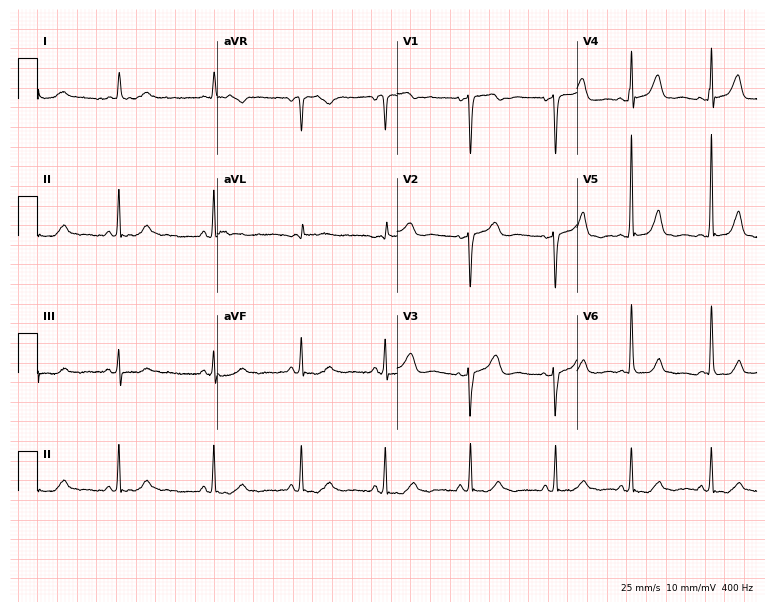
Electrocardiogram (7.3-second recording at 400 Hz), a woman, 82 years old. Of the six screened findings (first-degree AV block, right bundle branch block (RBBB), left bundle branch block (LBBB), sinus bradycardia, atrial fibrillation (AF), sinus tachycardia), none is recorded. Findings outside these six are not listed.